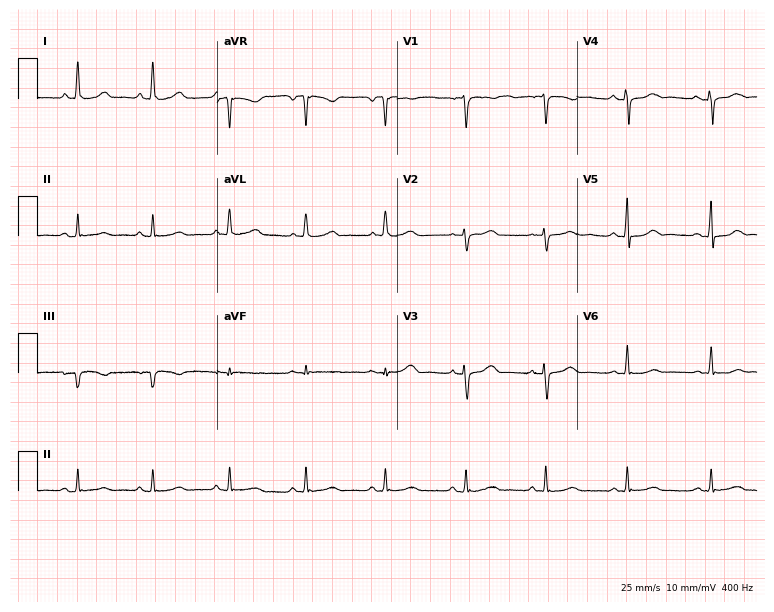
Resting 12-lead electrocardiogram. Patient: a 63-year-old female. Read as a normal ECG.